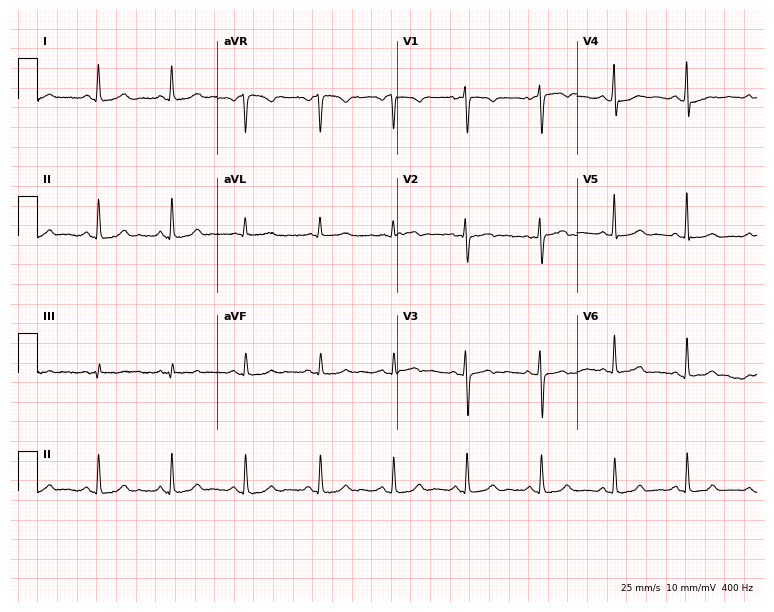
12-lead ECG from a 38-year-old female. Labelled as a normal ECG.